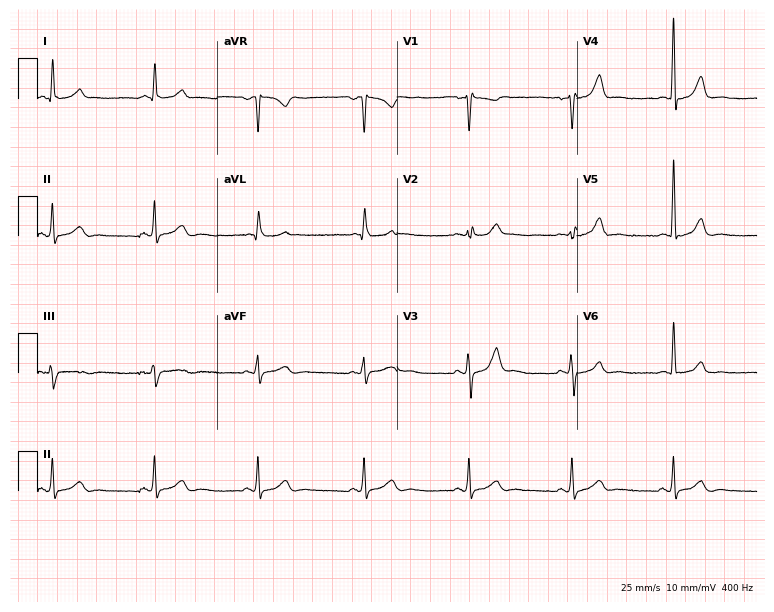
Resting 12-lead electrocardiogram. Patient: a 60-year-old man. Read as a normal ECG.